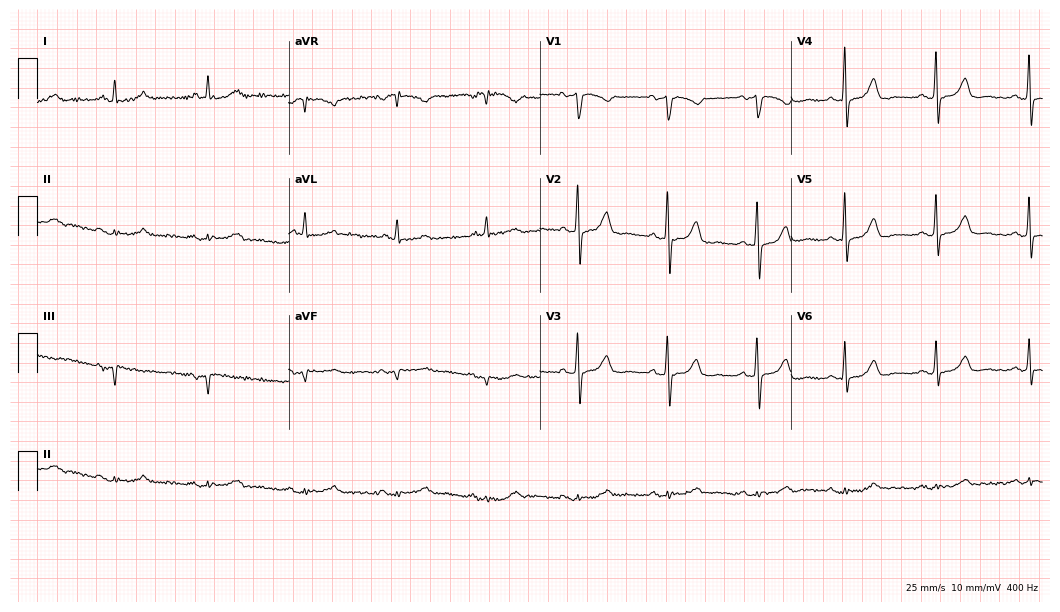
Standard 12-lead ECG recorded from a 63-year-old female. None of these six findings is recorded: first-degree AV block, right bundle branch block (RBBB), left bundle branch block (LBBB), sinus bradycardia, atrial fibrillation (AF), sinus tachycardia.